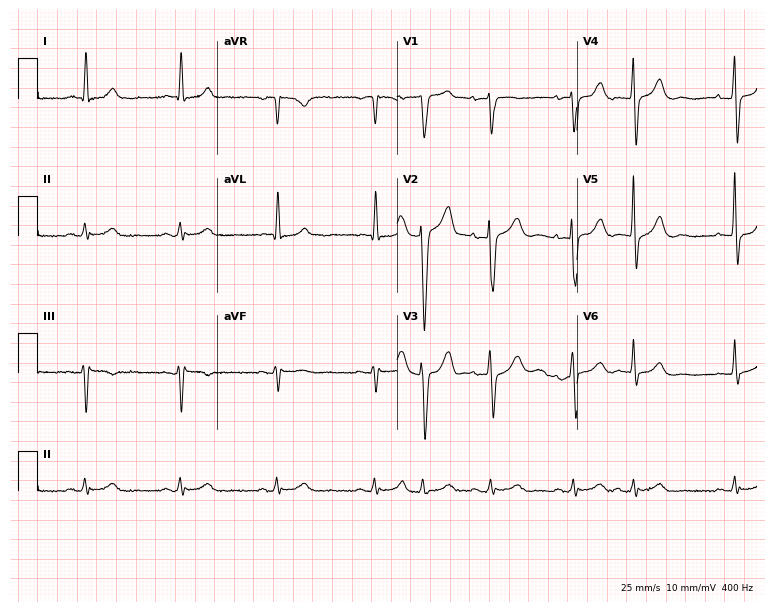
12-lead ECG (7.3-second recording at 400 Hz) from a man, 75 years old. Labelled as a normal ECG.